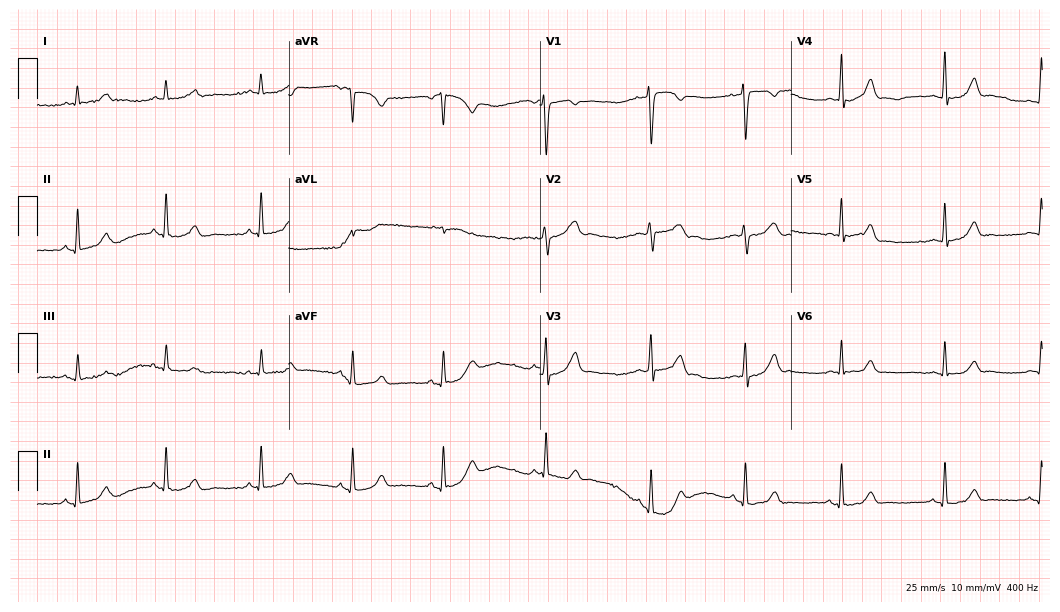
12-lead ECG from a 21-year-old female (10.2-second recording at 400 Hz). Recorded interpretation: within normal limits.